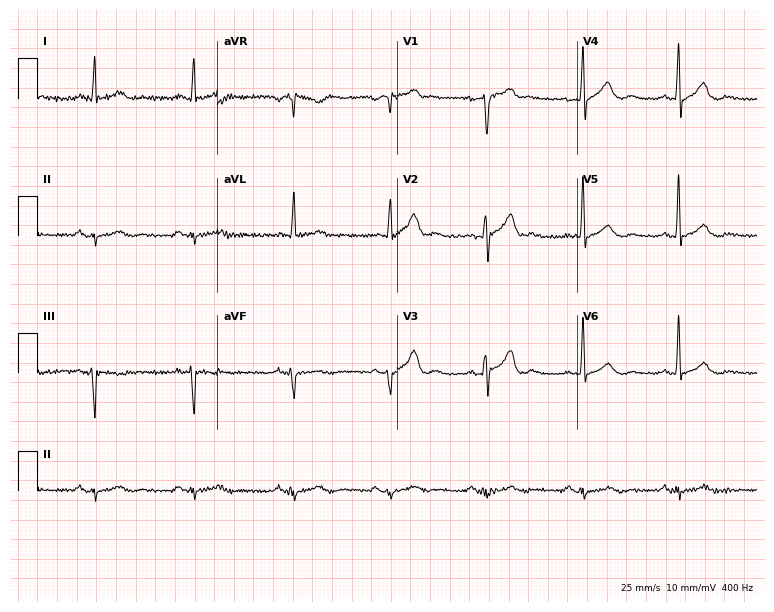
12-lead ECG from a 57-year-old male. No first-degree AV block, right bundle branch block (RBBB), left bundle branch block (LBBB), sinus bradycardia, atrial fibrillation (AF) or sinus tachycardia recorded for this tracing. Only these six findings were labelled.